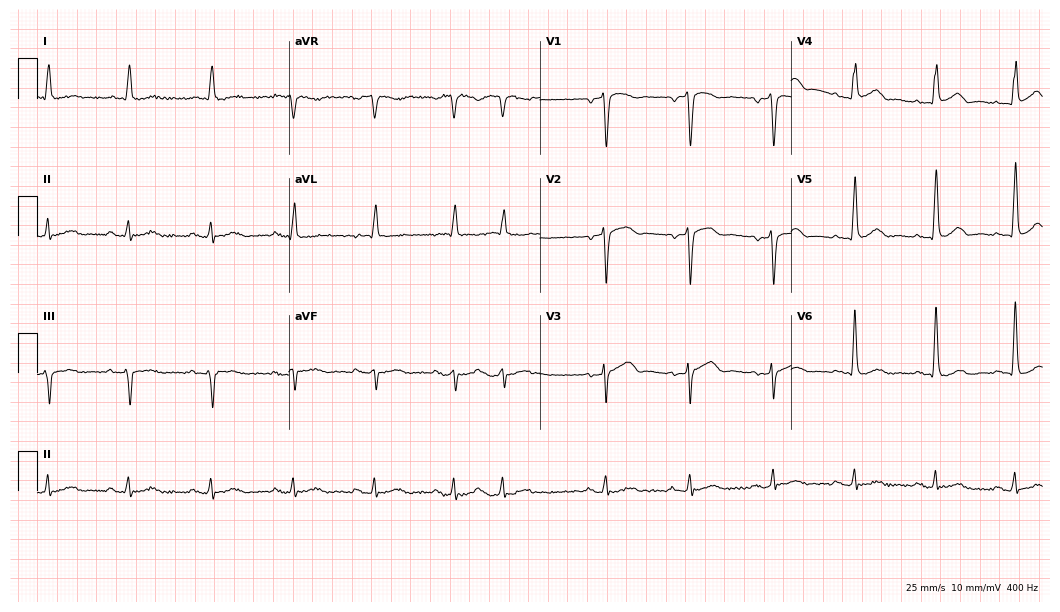
ECG (10.2-second recording at 400 Hz) — a male, 83 years old. Labelled as a normal ECG.